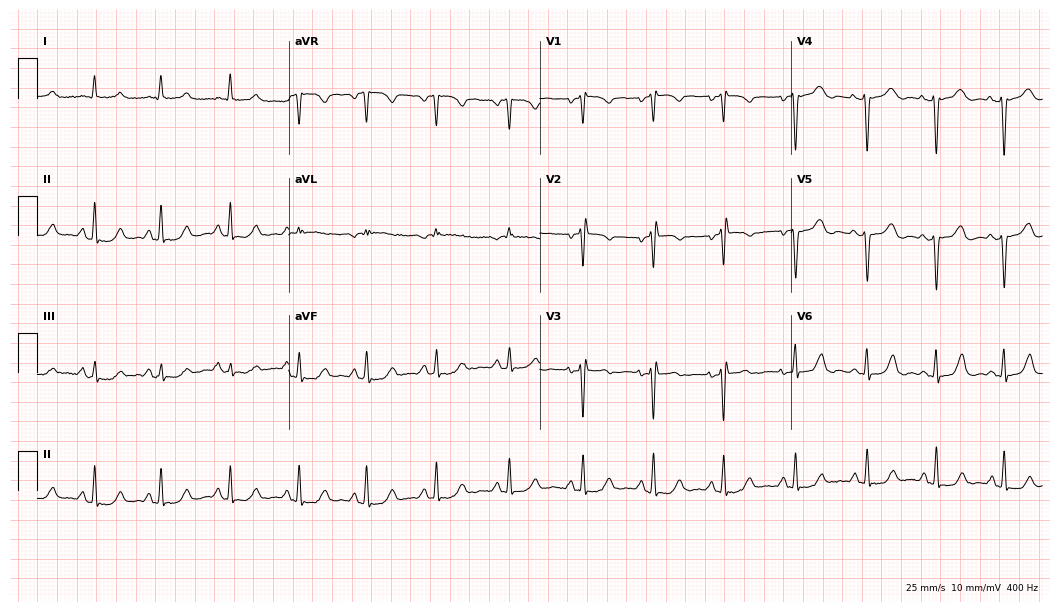
ECG — a 62-year-old female. Screened for six findings — first-degree AV block, right bundle branch block, left bundle branch block, sinus bradycardia, atrial fibrillation, sinus tachycardia — none is recorded.